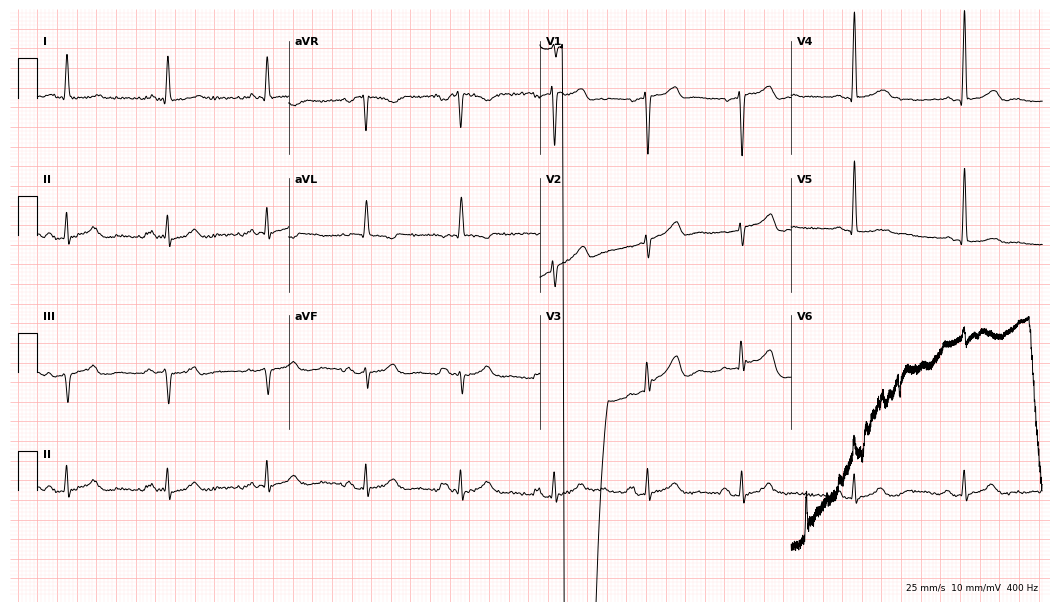
ECG (10.2-second recording at 400 Hz) — an 85-year-old woman. Screened for six findings — first-degree AV block, right bundle branch block, left bundle branch block, sinus bradycardia, atrial fibrillation, sinus tachycardia — none is recorded.